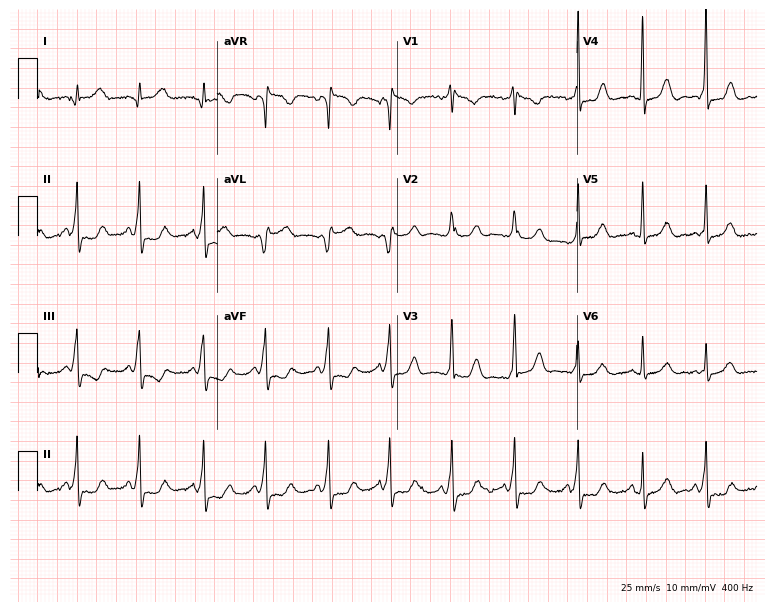
12-lead ECG from a female patient, 49 years old. Screened for six findings — first-degree AV block, right bundle branch block, left bundle branch block, sinus bradycardia, atrial fibrillation, sinus tachycardia — none is recorded.